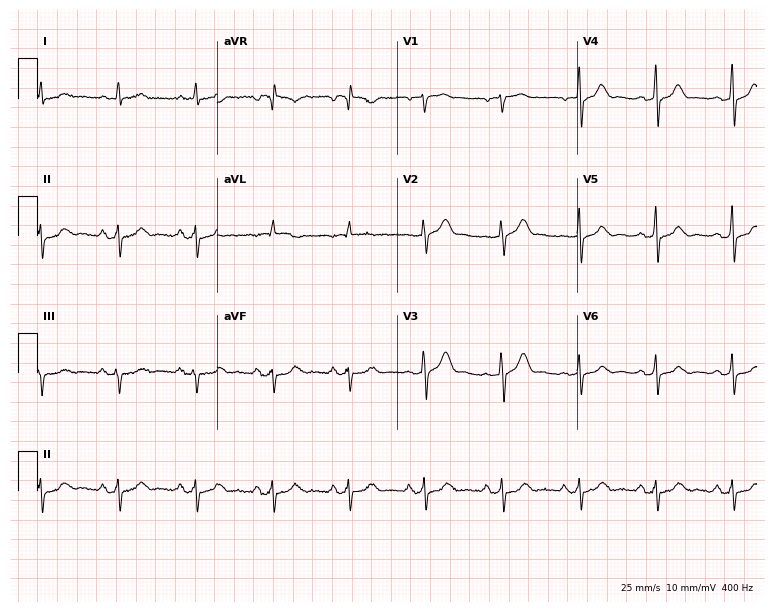
12-lead ECG (7.3-second recording at 400 Hz) from a 61-year-old male patient. Screened for six findings — first-degree AV block, right bundle branch block, left bundle branch block, sinus bradycardia, atrial fibrillation, sinus tachycardia — none is recorded. Only these six findings were labelled.